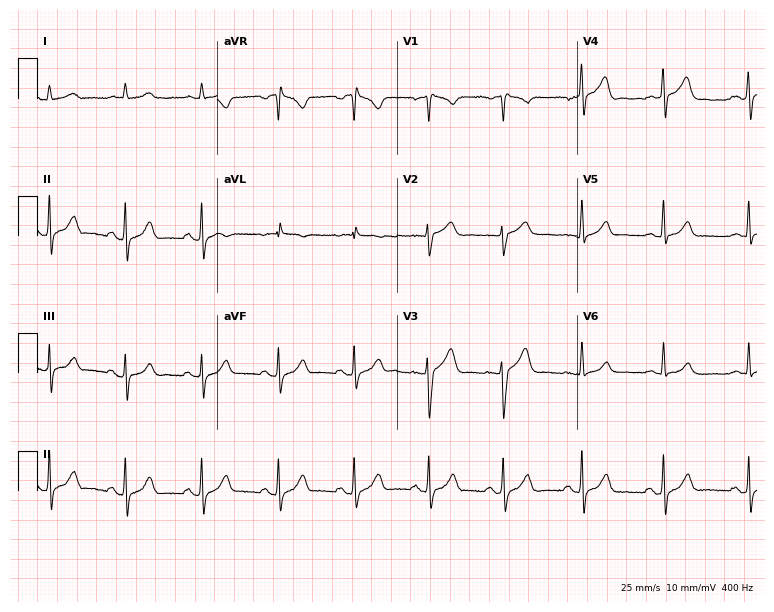
Resting 12-lead electrocardiogram. Patient: a 54-year-old man. Read as a normal ECG.